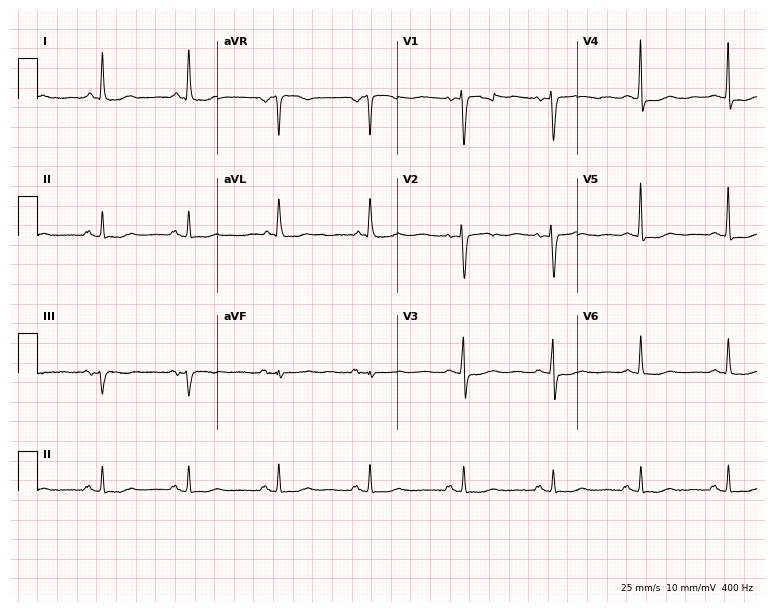
Resting 12-lead electrocardiogram. Patient: a woman, 84 years old. None of these six findings is recorded: first-degree AV block, right bundle branch block, left bundle branch block, sinus bradycardia, atrial fibrillation, sinus tachycardia. Findings outside these six are not listed.